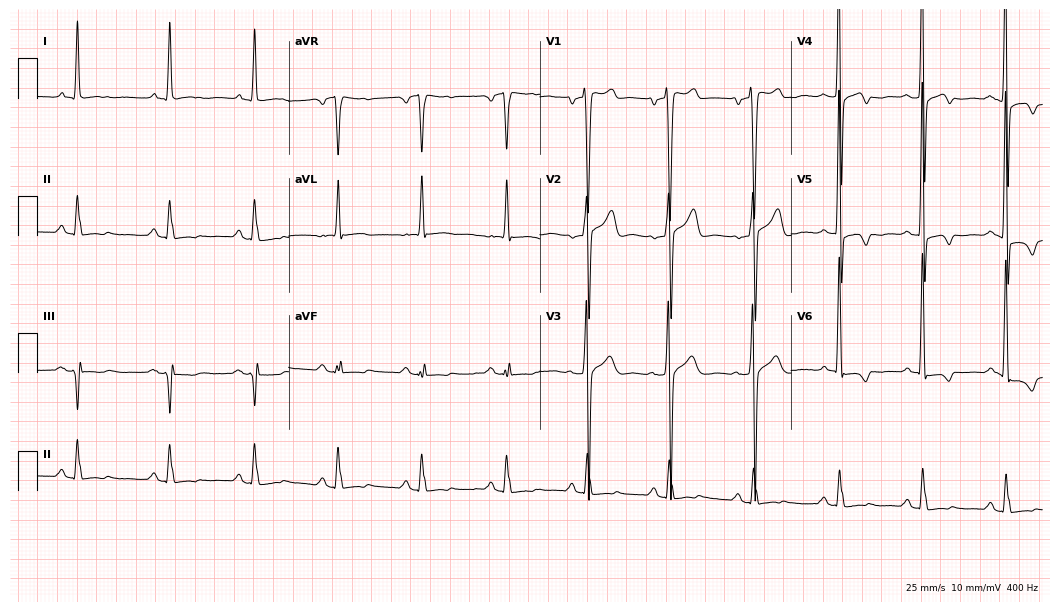
Resting 12-lead electrocardiogram (10.2-second recording at 400 Hz). Patient: a 39-year-old male. None of these six findings is recorded: first-degree AV block, right bundle branch block, left bundle branch block, sinus bradycardia, atrial fibrillation, sinus tachycardia.